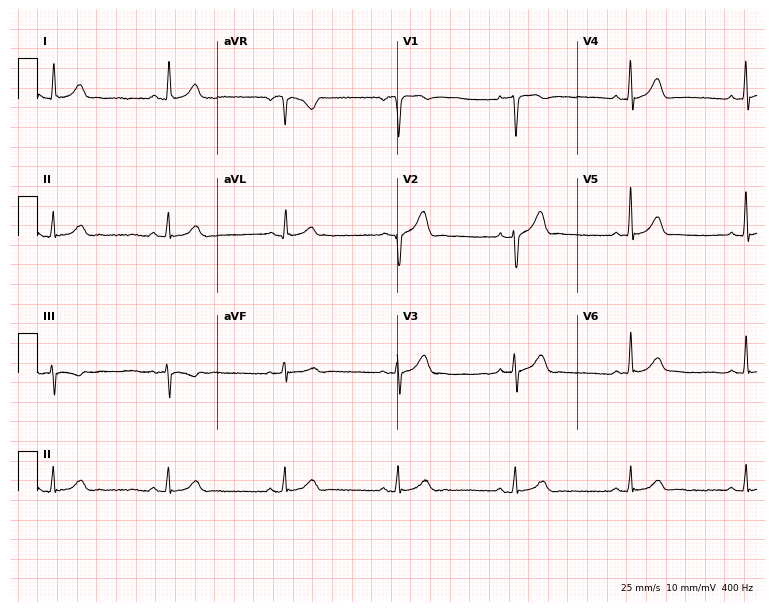
Resting 12-lead electrocardiogram. Patient: a male, 49 years old. Read as a normal ECG.